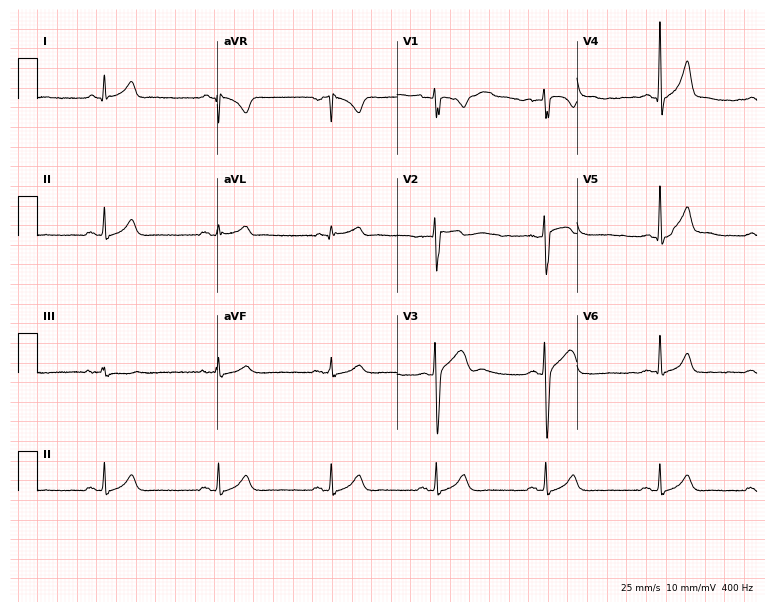
ECG (7.3-second recording at 400 Hz) — a 32-year-old man. Screened for six findings — first-degree AV block, right bundle branch block, left bundle branch block, sinus bradycardia, atrial fibrillation, sinus tachycardia — none is recorded.